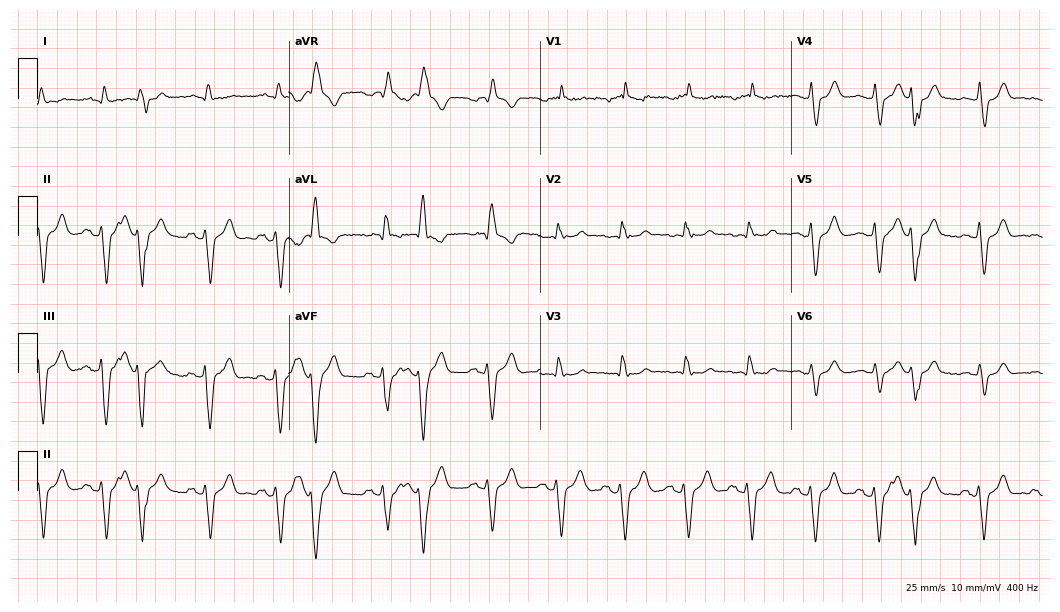
12-lead ECG from a 78-year-old male (10.2-second recording at 400 Hz). No first-degree AV block, right bundle branch block, left bundle branch block, sinus bradycardia, atrial fibrillation or sinus tachycardia recorded for this tracing.